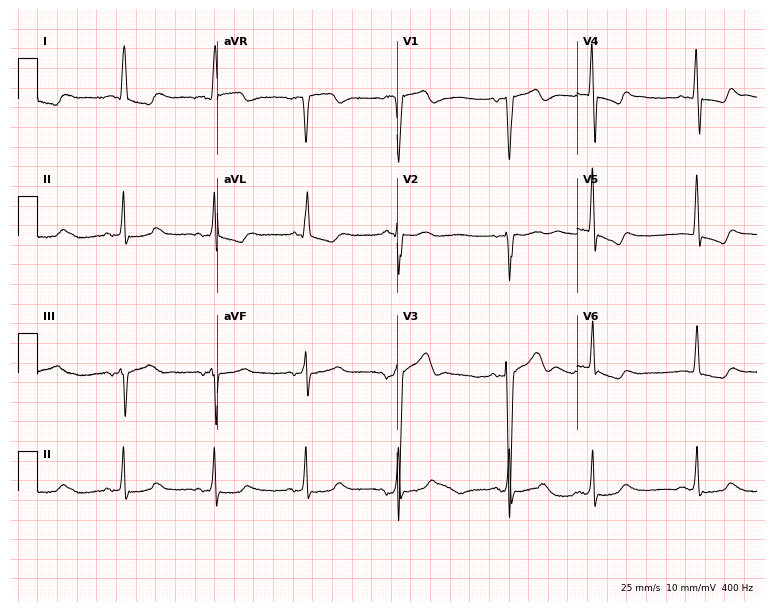
12-lead ECG from a man, 68 years old. No first-degree AV block, right bundle branch block (RBBB), left bundle branch block (LBBB), sinus bradycardia, atrial fibrillation (AF) or sinus tachycardia recorded for this tracing.